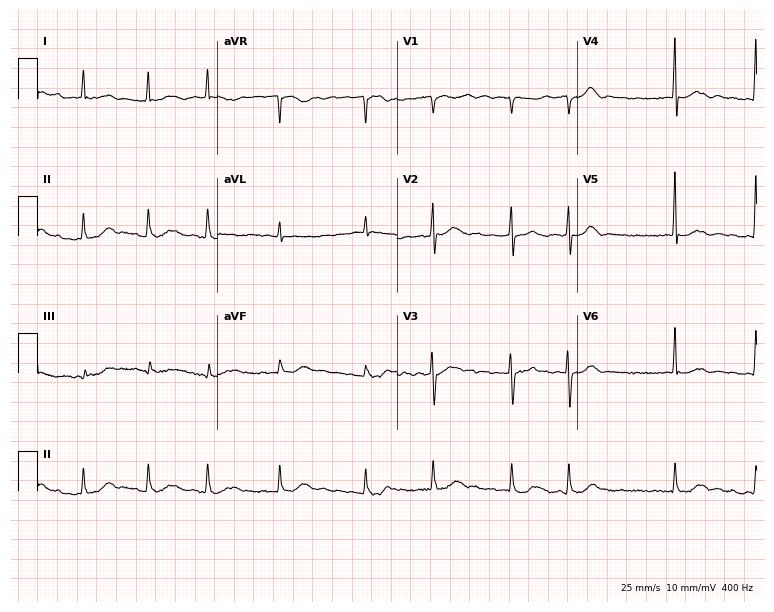
12-lead ECG from an 84-year-old woman. Findings include atrial fibrillation (AF).